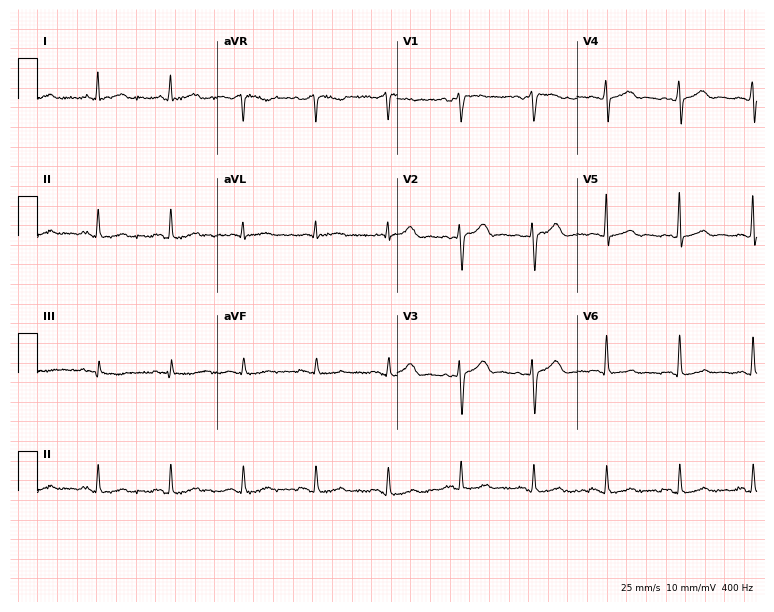
Electrocardiogram (7.3-second recording at 400 Hz), a 48-year-old female. Of the six screened findings (first-degree AV block, right bundle branch block (RBBB), left bundle branch block (LBBB), sinus bradycardia, atrial fibrillation (AF), sinus tachycardia), none is recorded. Only these six findings were labelled.